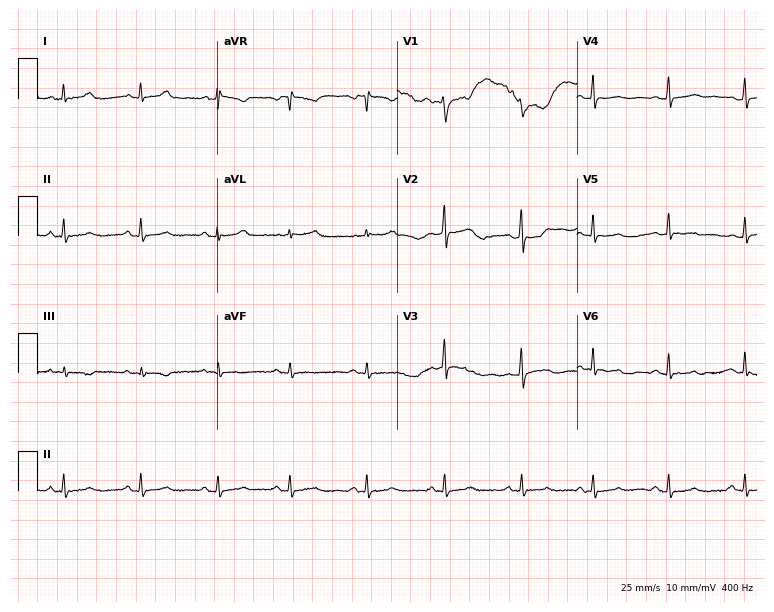
Electrocardiogram, a female patient, 41 years old. Of the six screened findings (first-degree AV block, right bundle branch block, left bundle branch block, sinus bradycardia, atrial fibrillation, sinus tachycardia), none is recorded.